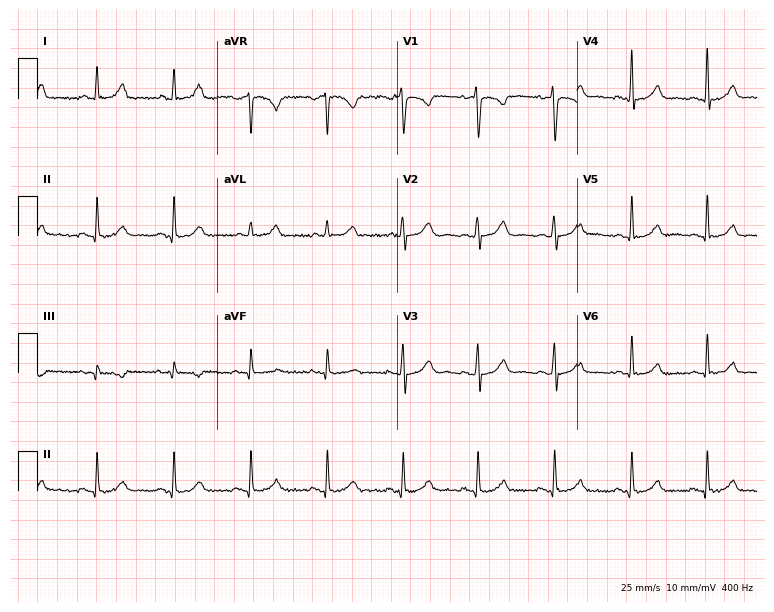
Standard 12-lead ECG recorded from a 42-year-old woman (7.3-second recording at 400 Hz). None of these six findings is recorded: first-degree AV block, right bundle branch block, left bundle branch block, sinus bradycardia, atrial fibrillation, sinus tachycardia.